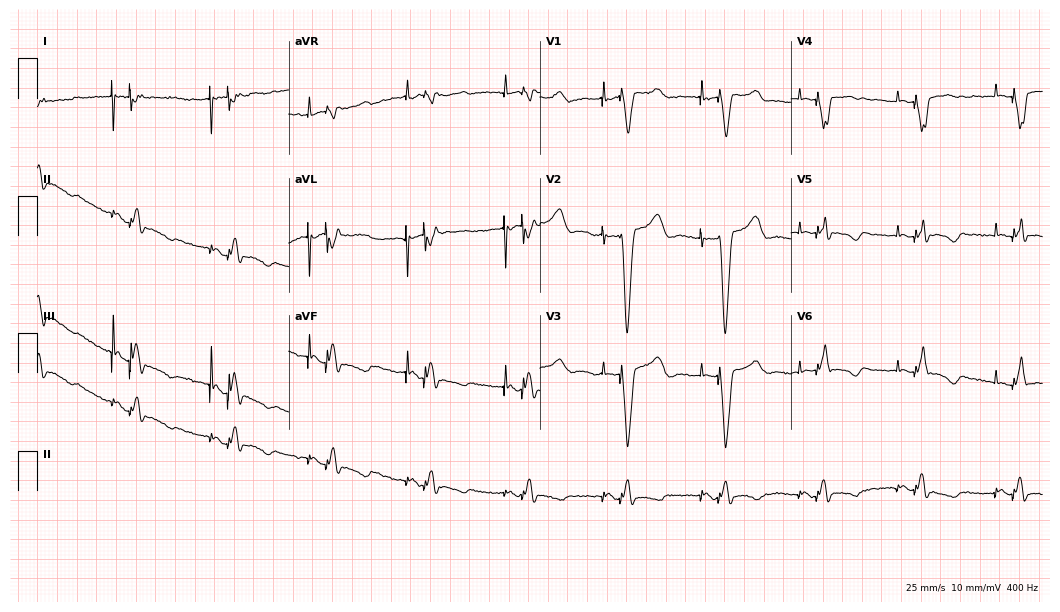
12-lead ECG from a 74-year-old man. Screened for six findings — first-degree AV block, right bundle branch block (RBBB), left bundle branch block (LBBB), sinus bradycardia, atrial fibrillation (AF), sinus tachycardia — none is recorded.